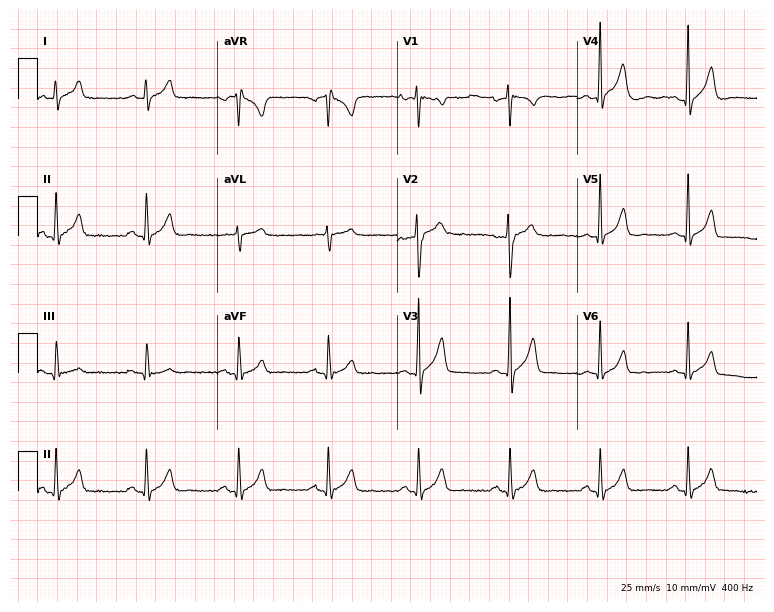
ECG — a male, 31 years old. Labelled as a normal ECG.